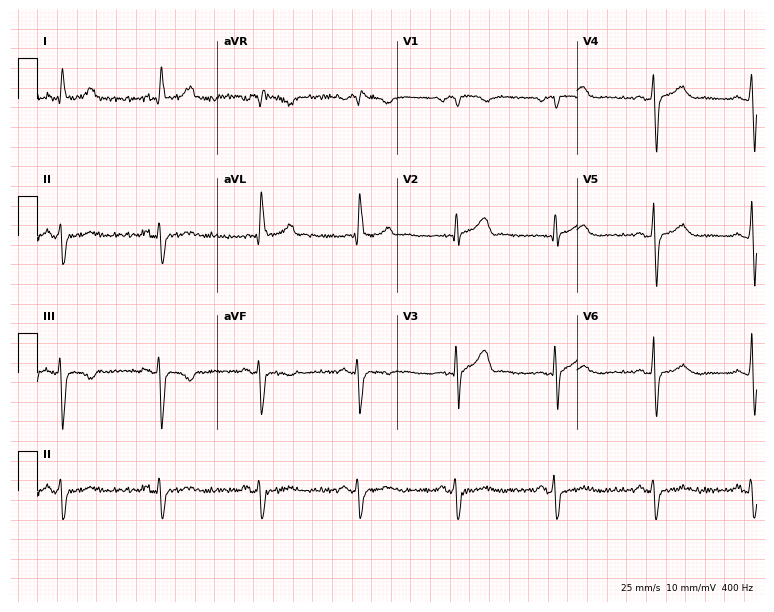
12-lead ECG from a 79-year-old male patient. No first-degree AV block, right bundle branch block, left bundle branch block, sinus bradycardia, atrial fibrillation or sinus tachycardia recorded for this tracing.